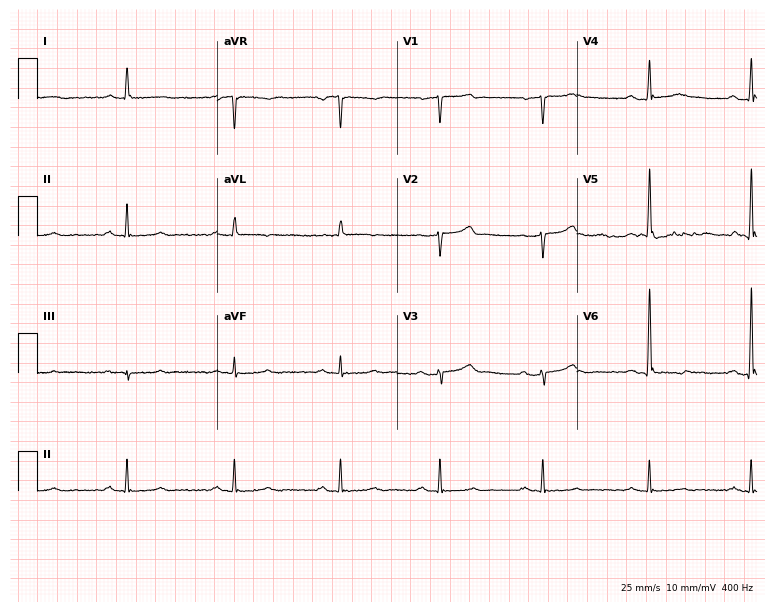
ECG (7.3-second recording at 400 Hz) — a 68-year-old male. Screened for six findings — first-degree AV block, right bundle branch block (RBBB), left bundle branch block (LBBB), sinus bradycardia, atrial fibrillation (AF), sinus tachycardia — none is recorded. Findings outside these six are not listed.